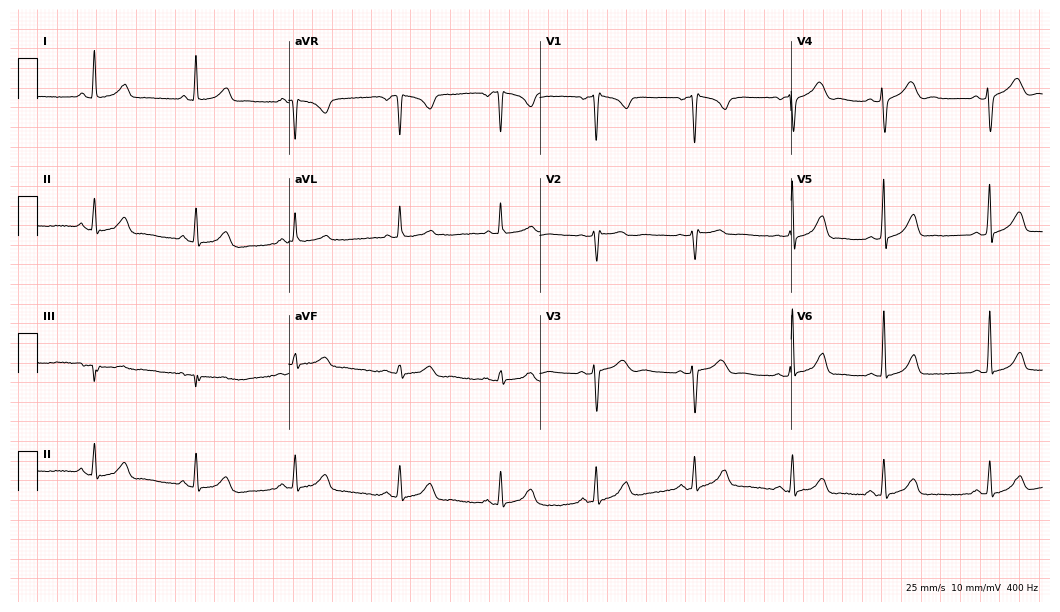
ECG — a 37-year-old female patient. Screened for six findings — first-degree AV block, right bundle branch block (RBBB), left bundle branch block (LBBB), sinus bradycardia, atrial fibrillation (AF), sinus tachycardia — none is recorded.